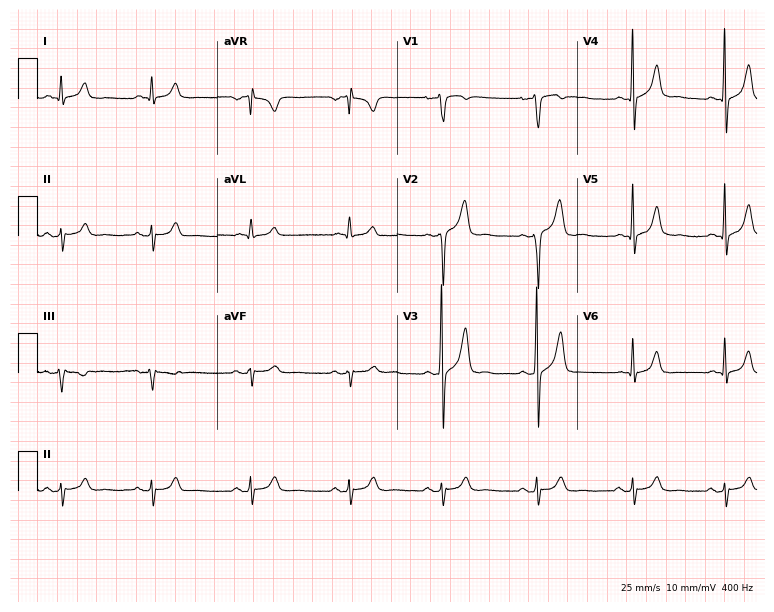
ECG (7.3-second recording at 400 Hz) — a man, 27 years old. Screened for six findings — first-degree AV block, right bundle branch block, left bundle branch block, sinus bradycardia, atrial fibrillation, sinus tachycardia — none is recorded.